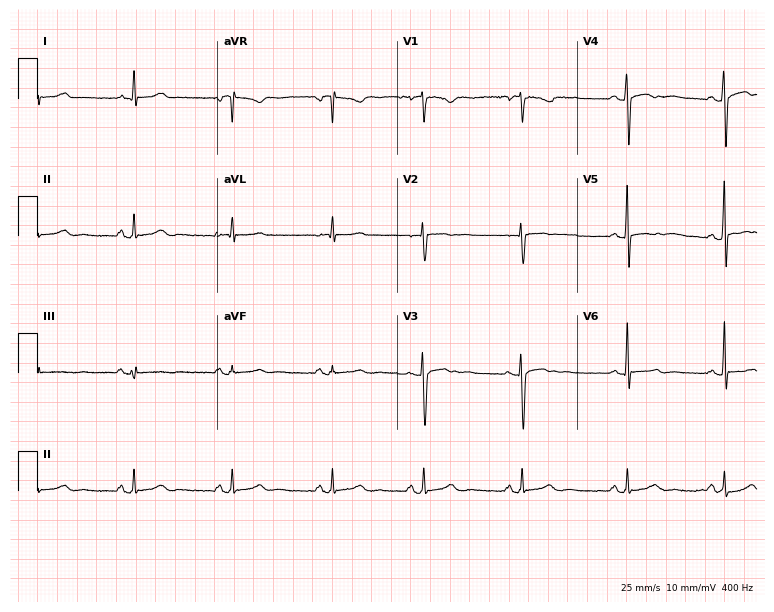
ECG — a female patient, 29 years old. Screened for six findings — first-degree AV block, right bundle branch block, left bundle branch block, sinus bradycardia, atrial fibrillation, sinus tachycardia — none is recorded. Only these six findings were labelled.